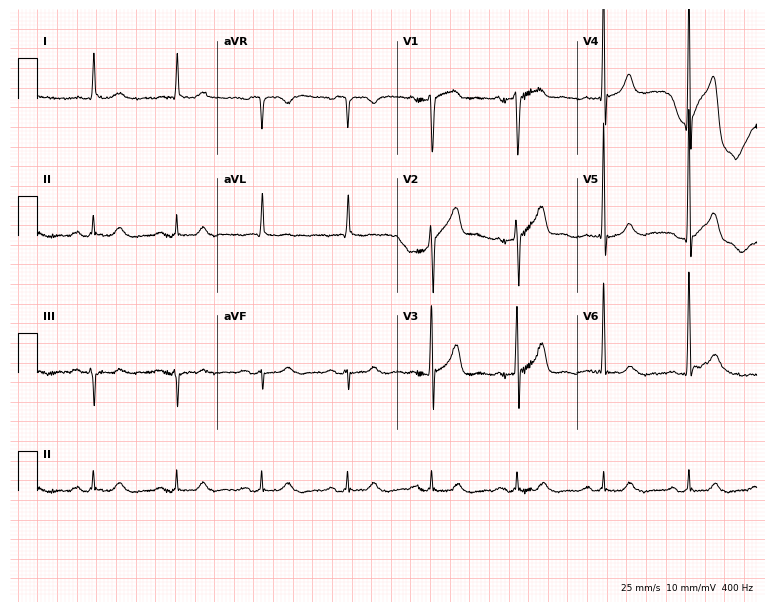
Resting 12-lead electrocardiogram. Patient: an 83-year-old man. Read as a normal ECG.